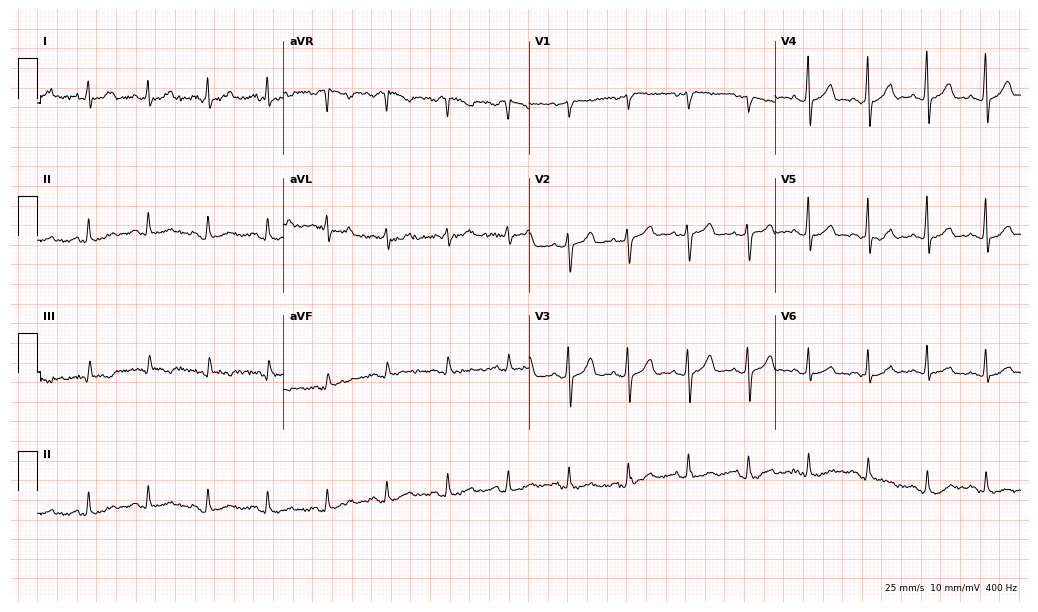
Standard 12-lead ECG recorded from a woman, 52 years old (10-second recording at 400 Hz). Read as a normal ECG.